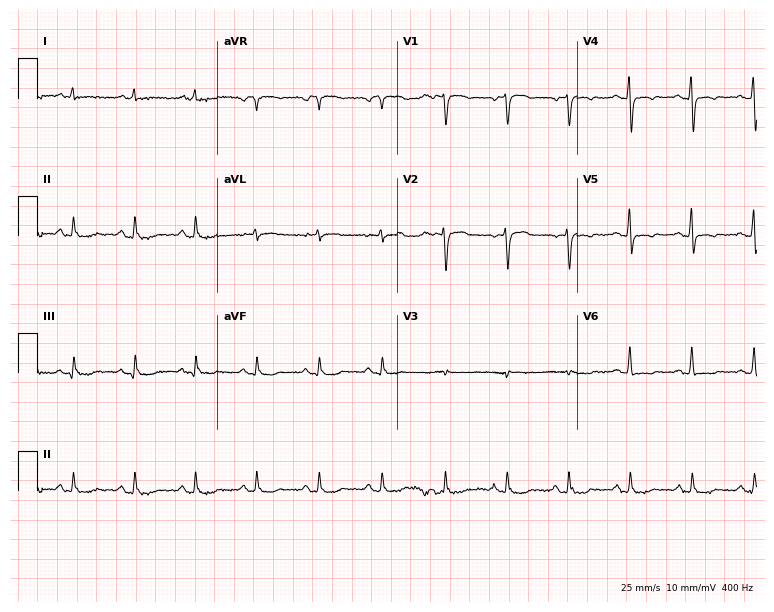
12-lead ECG from a female patient, 67 years old (7.3-second recording at 400 Hz). No first-degree AV block, right bundle branch block (RBBB), left bundle branch block (LBBB), sinus bradycardia, atrial fibrillation (AF) or sinus tachycardia recorded for this tracing.